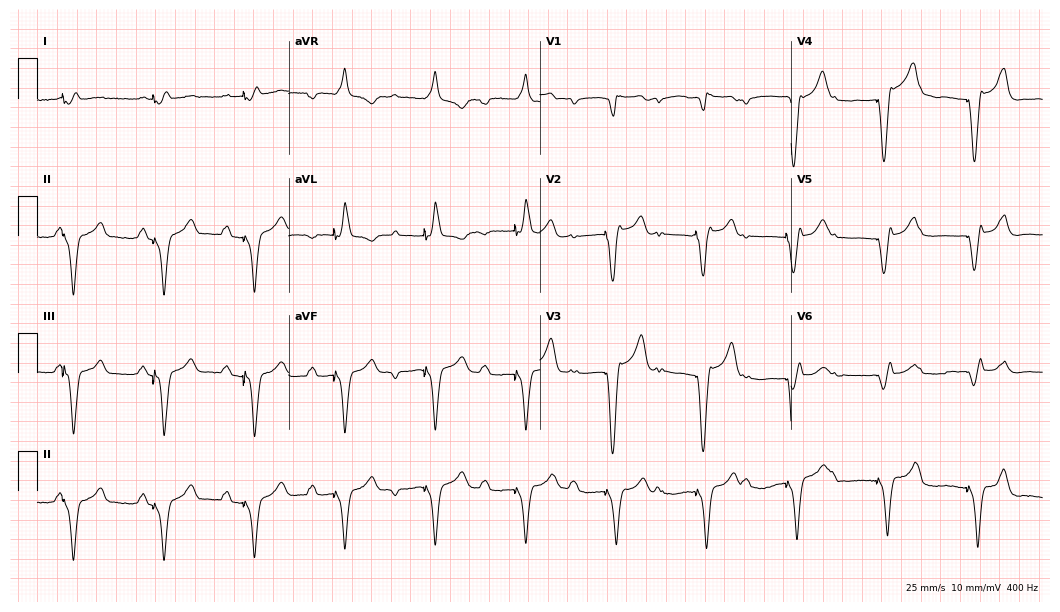
12-lead ECG from a 58-year-old man (10.2-second recording at 400 Hz). No first-degree AV block, right bundle branch block, left bundle branch block, sinus bradycardia, atrial fibrillation or sinus tachycardia recorded for this tracing.